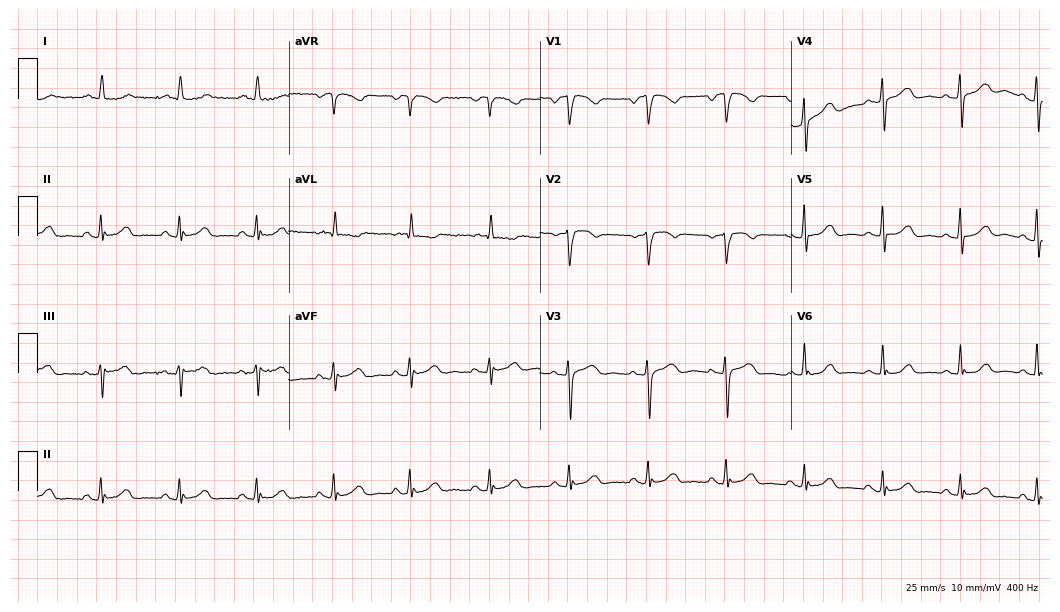
12-lead ECG from a 70-year-old female. Recorded interpretation: within normal limits.